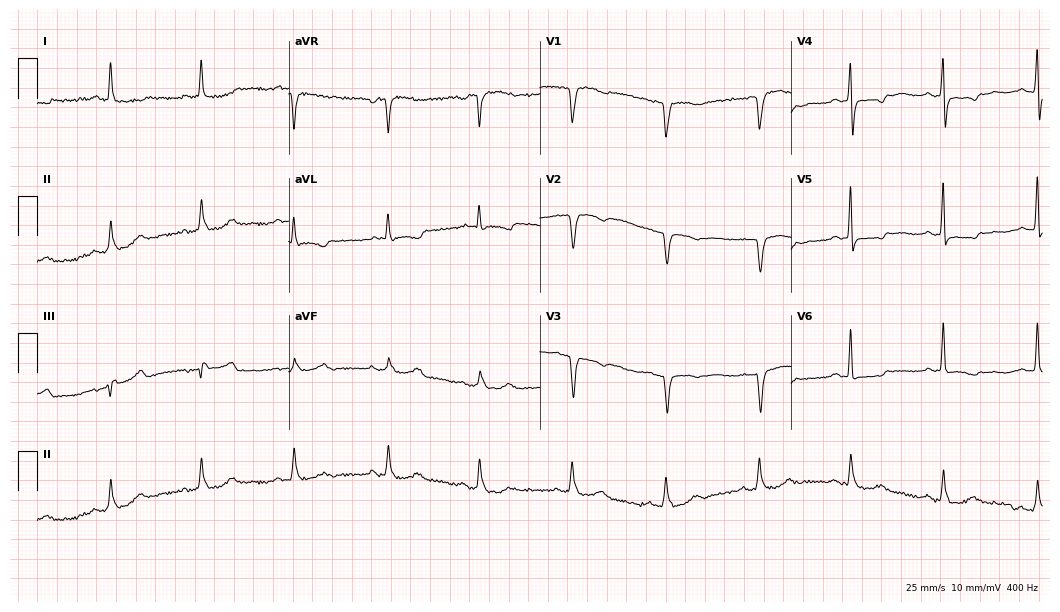
Standard 12-lead ECG recorded from a 64-year-old female patient. None of these six findings is recorded: first-degree AV block, right bundle branch block, left bundle branch block, sinus bradycardia, atrial fibrillation, sinus tachycardia.